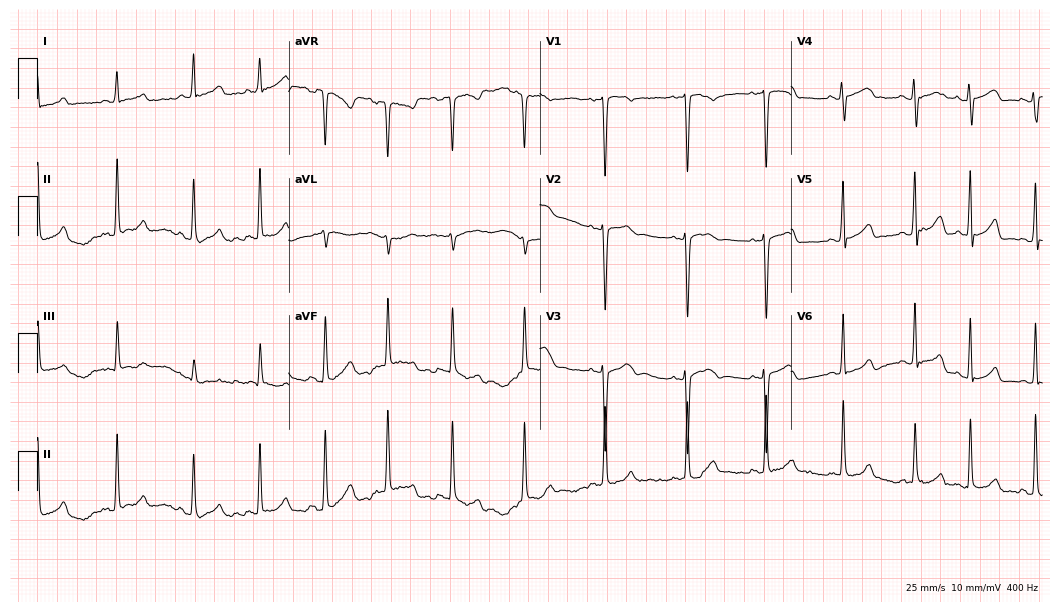
Electrocardiogram (10.2-second recording at 400 Hz), a 31-year-old female patient. Overall reading on record: normal ECG.